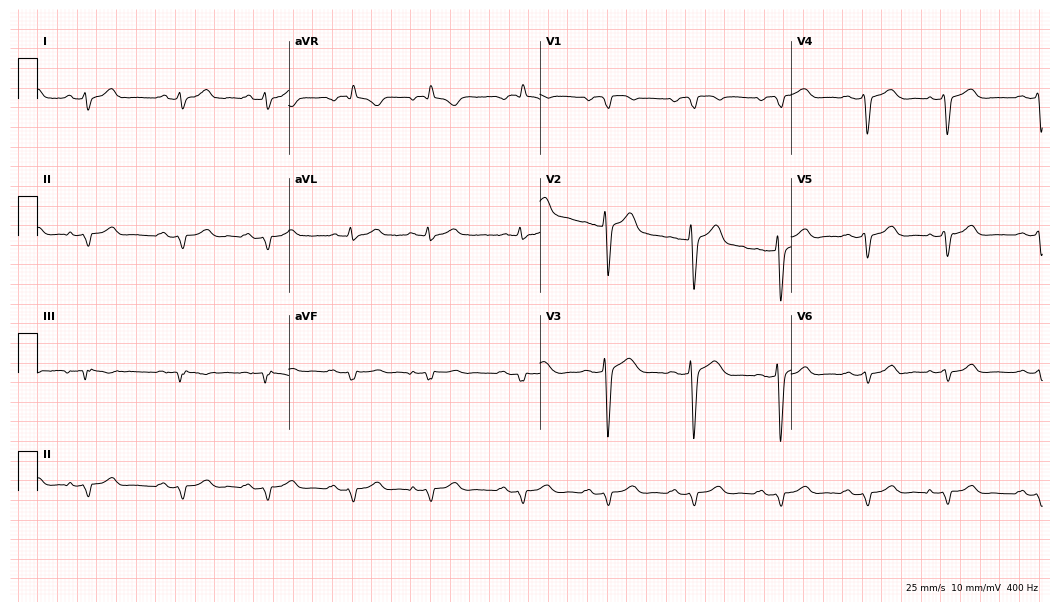
ECG (10.2-second recording at 400 Hz) — a 70-year-old man. Screened for six findings — first-degree AV block, right bundle branch block, left bundle branch block, sinus bradycardia, atrial fibrillation, sinus tachycardia — none is recorded. Findings outside these six are not listed.